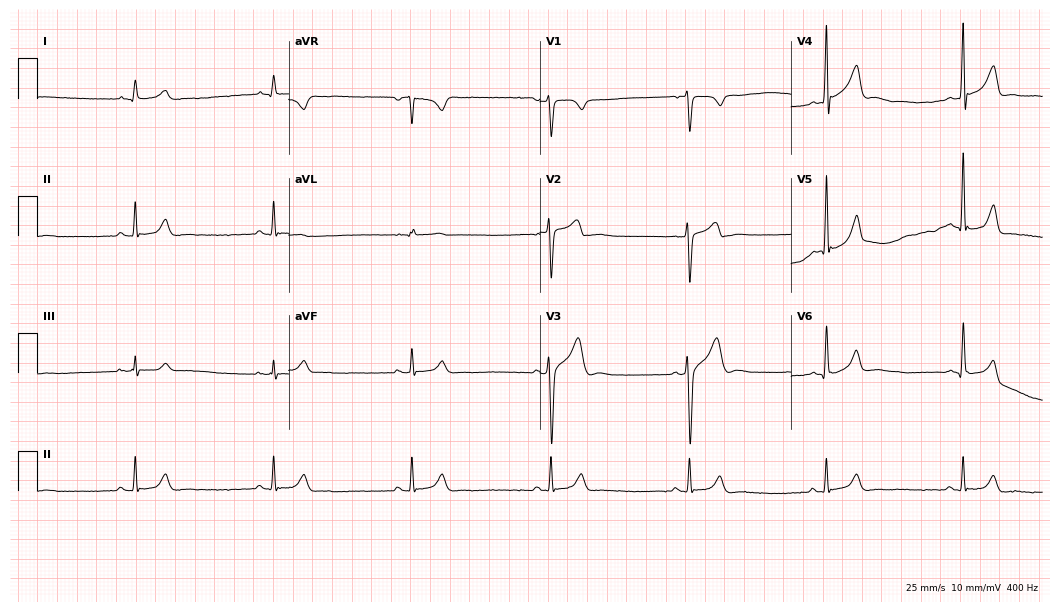
ECG — a 25-year-old male. Findings include sinus bradycardia (a sinus rate of 50 beats per minute or less).